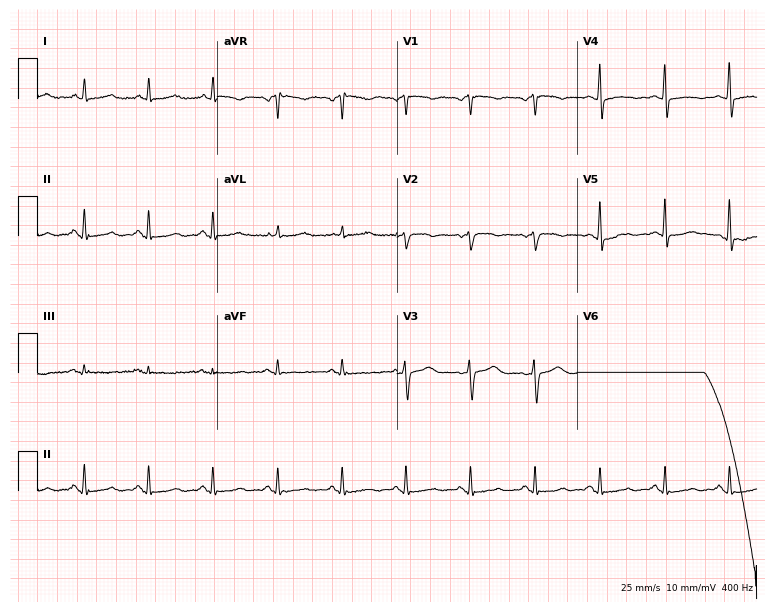
12-lead ECG from a woman, 51 years old. Labelled as a normal ECG.